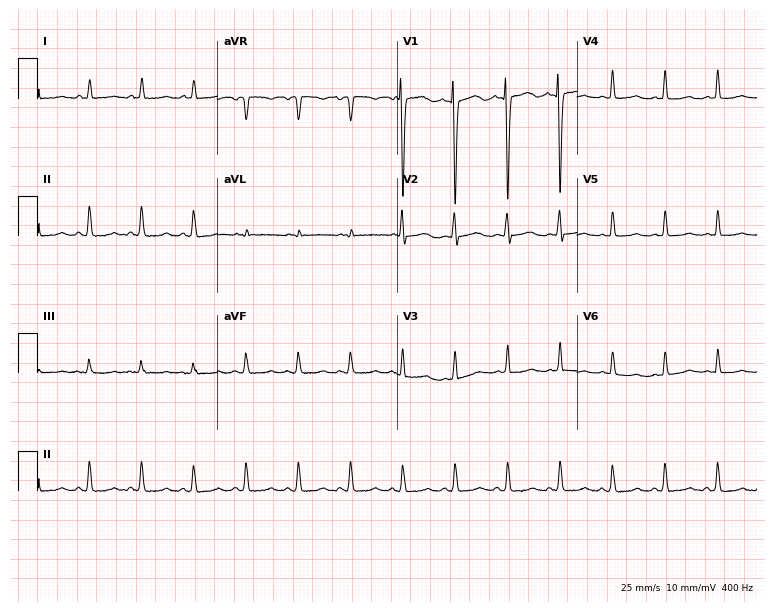
12-lead ECG from a female, 77 years old. Findings include sinus tachycardia (a sinus rate of 100 beats per minute or more).